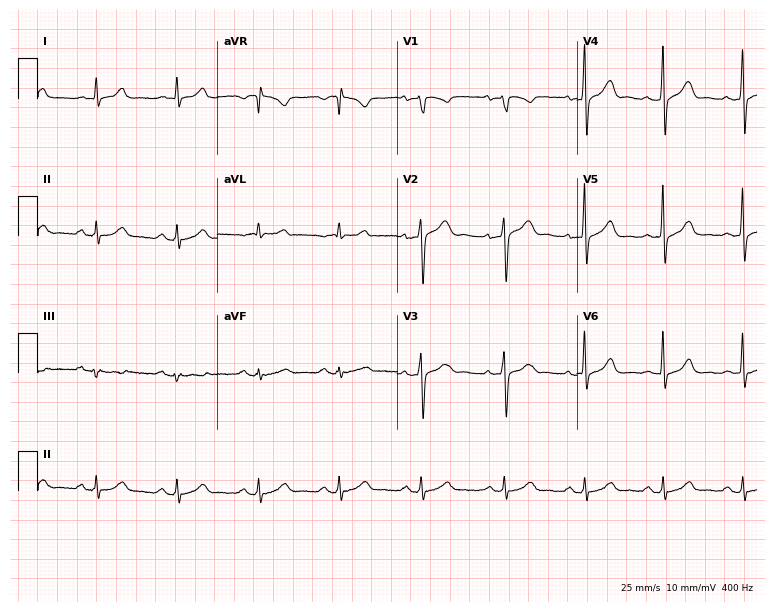
12-lead ECG from a 28-year-old male. Recorded interpretation: within normal limits.